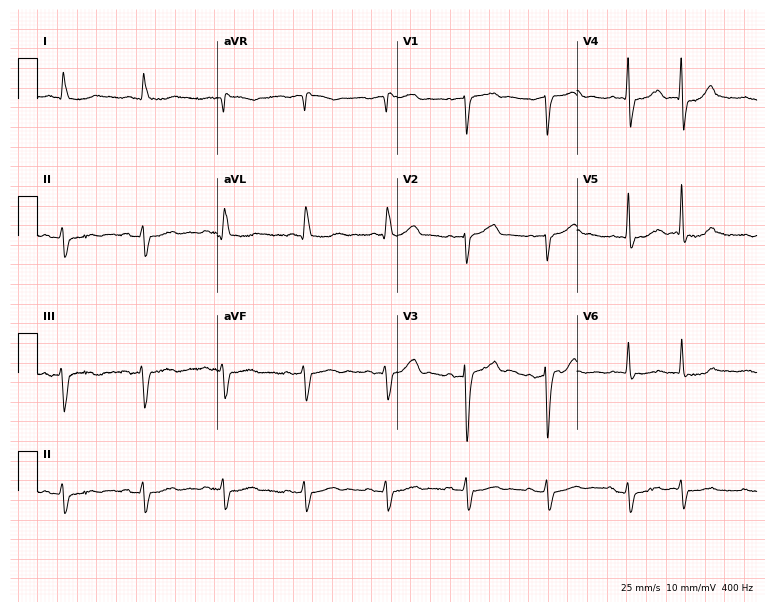
ECG (7.3-second recording at 400 Hz) — a male patient, 79 years old. Screened for six findings — first-degree AV block, right bundle branch block, left bundle branch block, sinus bradycardia, atrial fibrillation, sinus tachycardia — none is recorded.